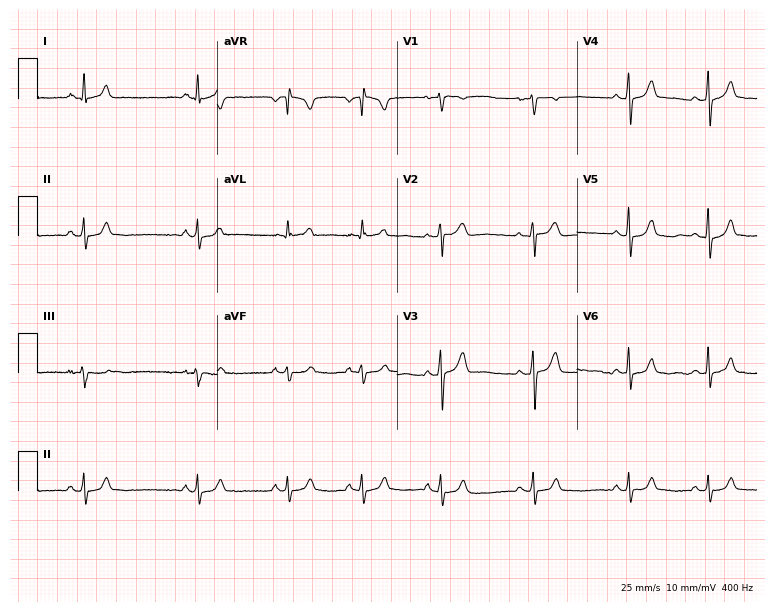
ECG — a female patient, 36 years old. Labelled as a normal ECG.